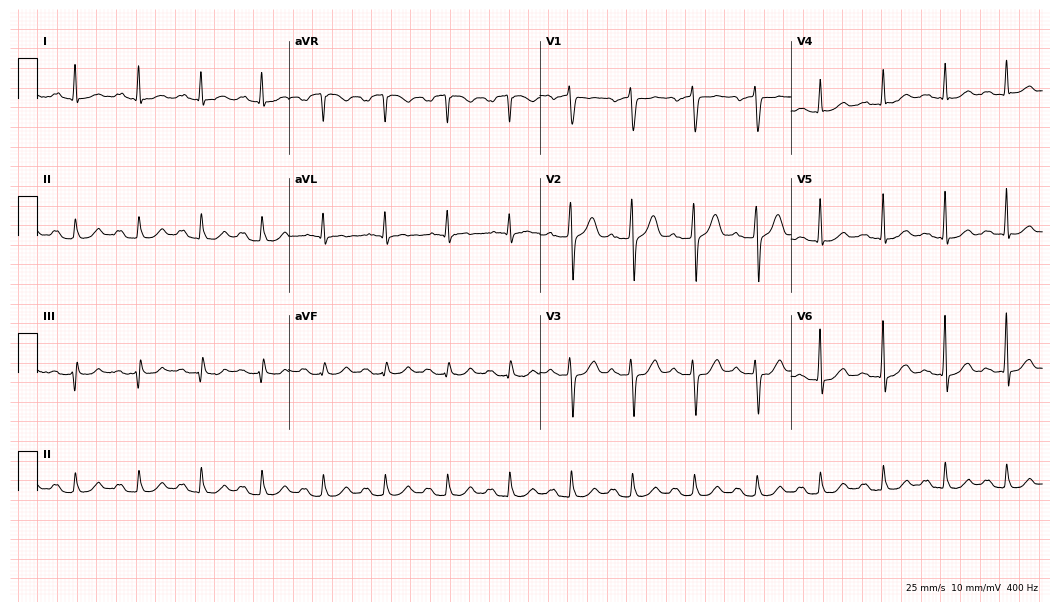
Standard 12-lead ECG recorded from a 44-year-old male patient. The tracing shows first-degree AV block.